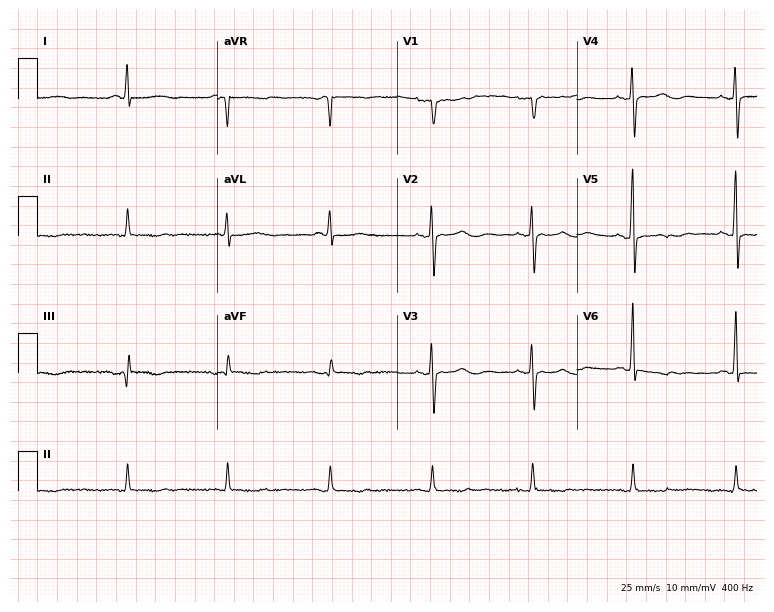
Resting 12-lead electrocardiogram. Patient: a 76-year-old female. None of these six findings is recorded: first-degree AV block, right bundle branch block (RBBB), left bundle branch block (LBBB), sinus bradycardia, atrial fibrillation (AF), sinus tachycardia.